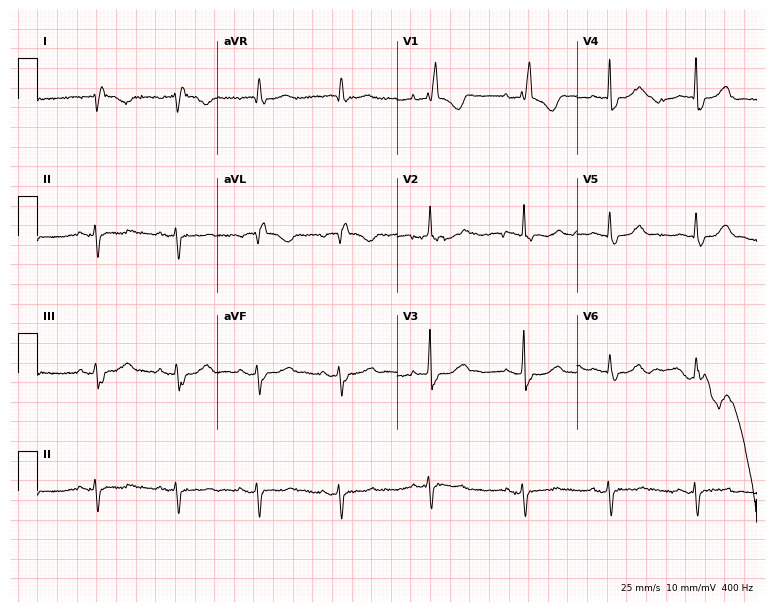
Resting 12-lead electrocardiogram. Patient: a woman, 77 years old. None of these six findings is recorded: first-degree AV block, right bundle branch block, left bundle branch block, sinus bradycardia, atrial fibrillation, sinus tachycardia. Other findings, if any, are not listed.